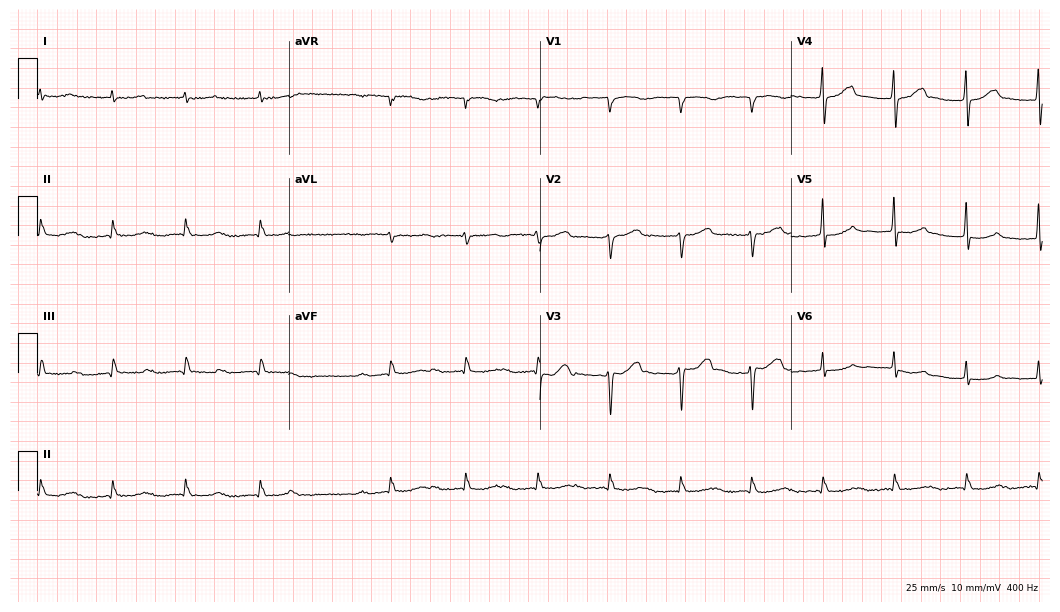
Standard 12-lead ECG recorded from an 84-year-old male. None of these six findings is recorded: first-degree AV block, right bundle branch block (RBBB), left bundle branch block (LBBB), sinus bradycardia, atrial fibrillation (AF), sinus tachycardia. Only these six findings were labelled.